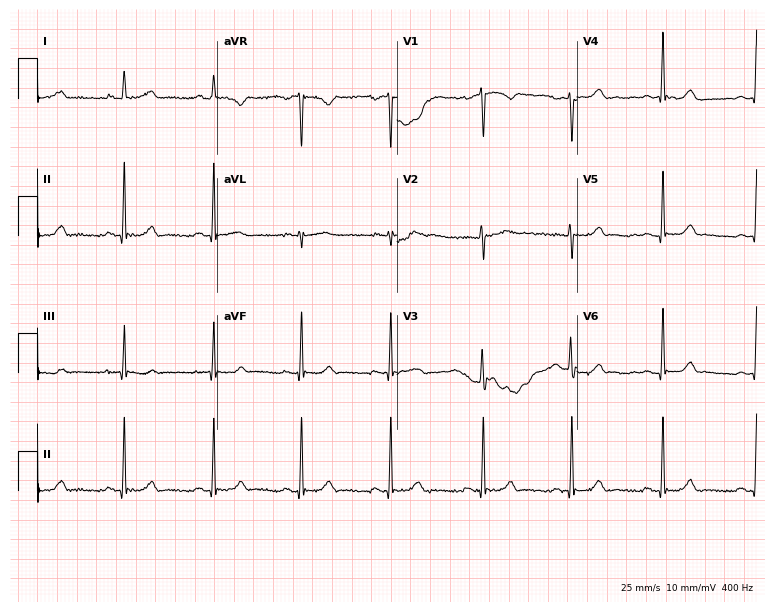
Resting 12-lead electrocardiogram (7.3-second recording at 400 Hz). Patient: a 27-year-old female. None of these six findings is recorded: first-degree AV block, right bundle branch block (RBBB), left bundle branch block (LBBB), sinus bradycardia, atrial fibrillation (AF), sinus tachycardia.